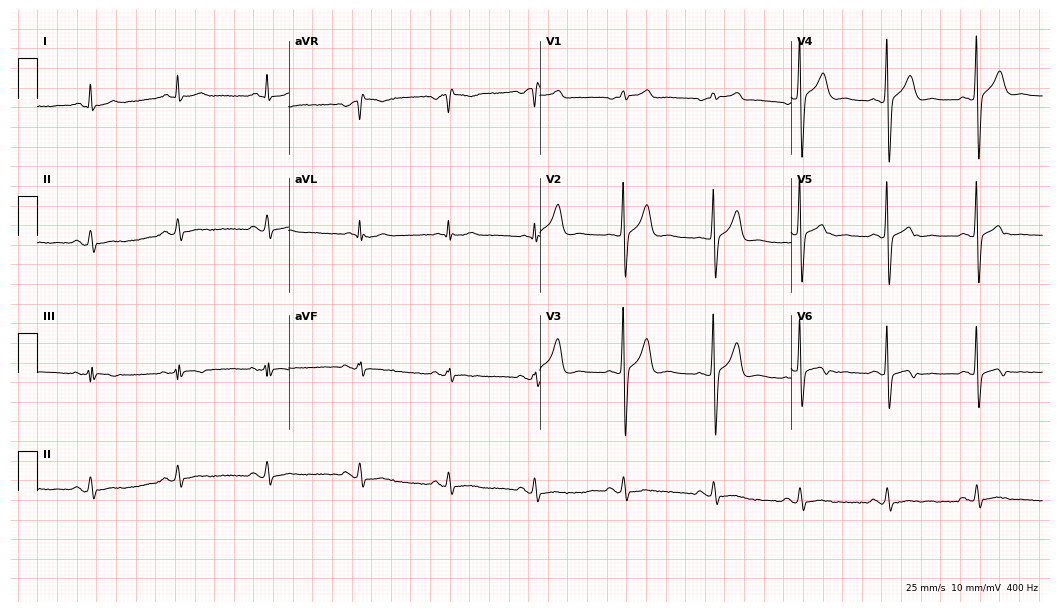
12-lead ECG from a man, 56 years old (10.2-second recording at 400 Hz). Recorded interpretation: within normal limits.